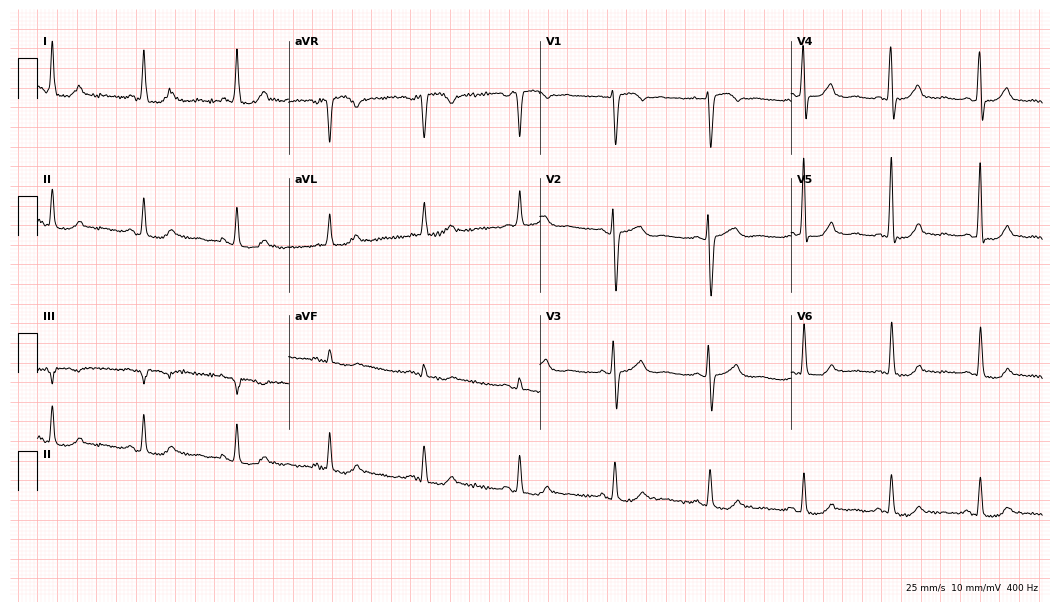
12-lead ECG from a 54-year-old female patient. No first-degree AV block, right bundle branch block (RBBB), left bundle branch block (LBBB), sinus bradycardia, atrial fibrillation (AF) or sinus tachycardia recorded for this tracing.